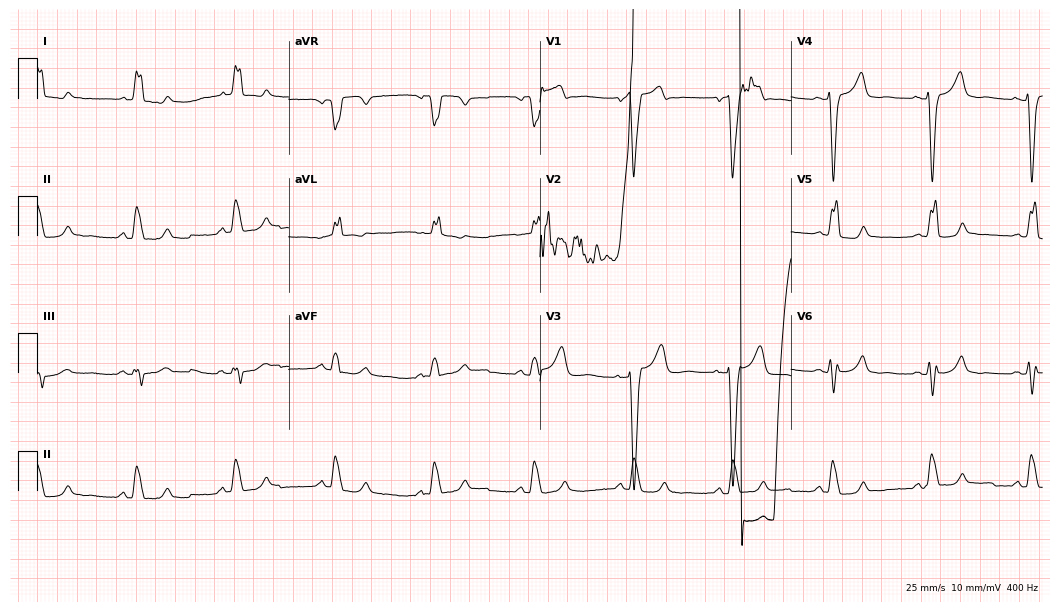
Electrocardiogram (10.2-second recording at 400 Hz), an 84-year-old female patient. Of the six screened findings (first-degree AV block, right bundle branch block (RBBB), left bundle branch block (LBBB), sinus bradycardia, atrial fibrillation (AF), sinus tachycardia), none is recorded.